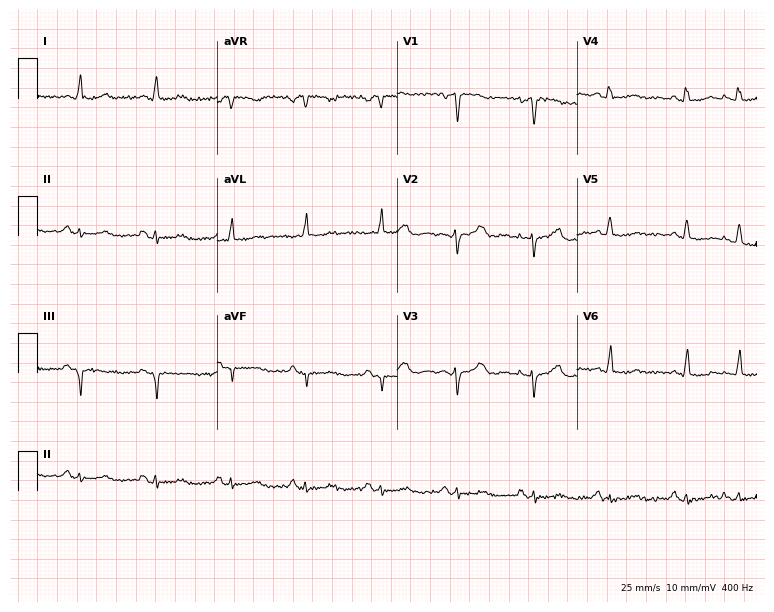
12-lead ECG from a female, 68 years old. No first-degree AV block, right bundle branch block, left bundle branch block, sinus bradycardia, atrial fibrillation or sinus tachycardia recorded for this tracing.